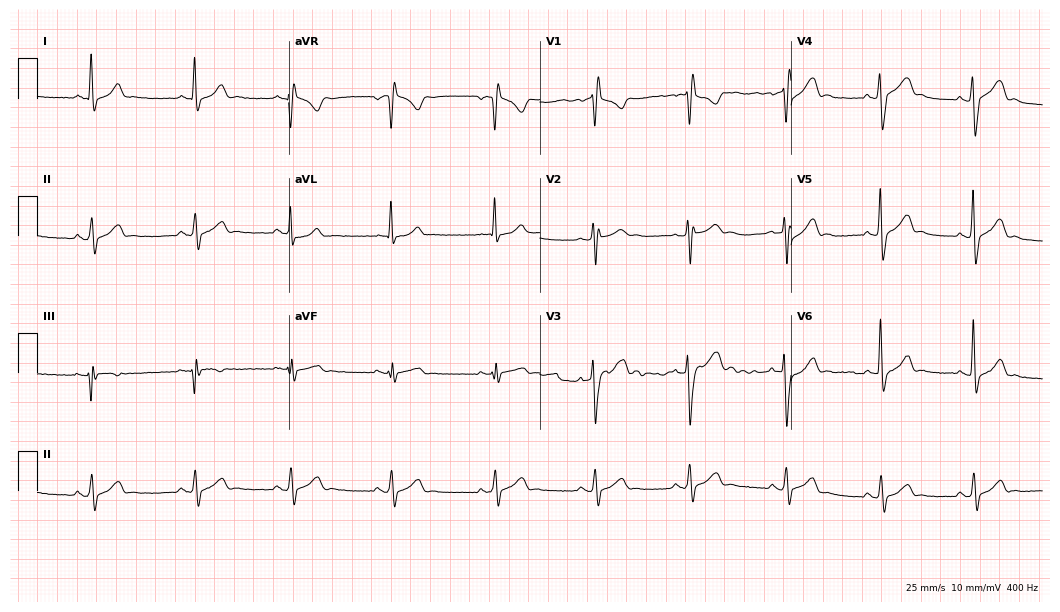
Standard 12-lead ECG recorded from a male patient, 31 years old. None of these six findings is recorded: first-degree AV block, right bundle branch block (RBBB), left bundle branch block (LBBB), sinus bradycardia, atrial fibrillation (AF), sinus tachycardia.